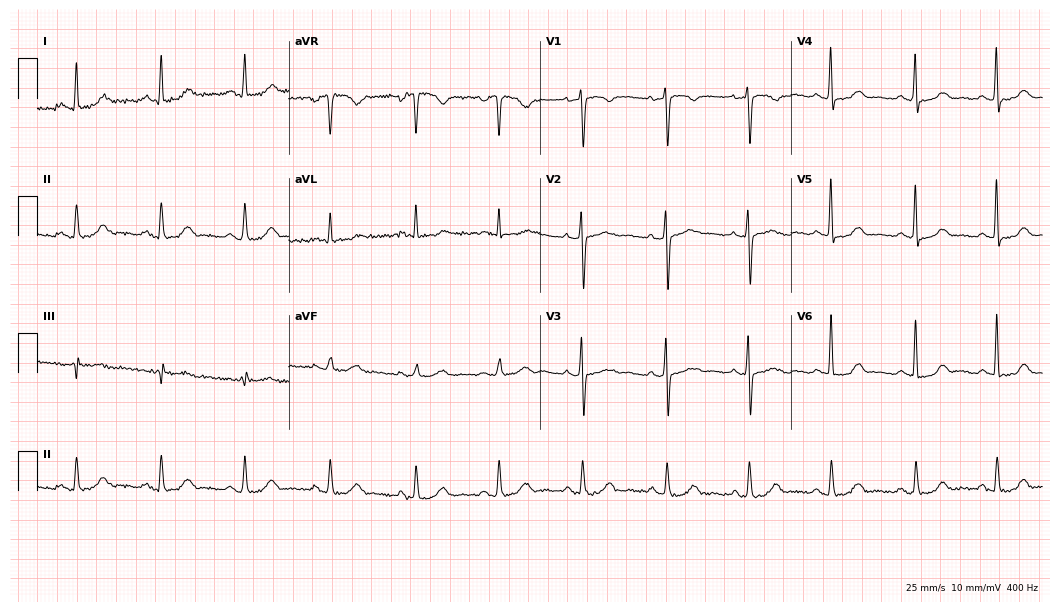
Electrocardiogram (10.2-second recording at 400 Hz), a 46-year-old female. Overall reading on record: normal ECG.